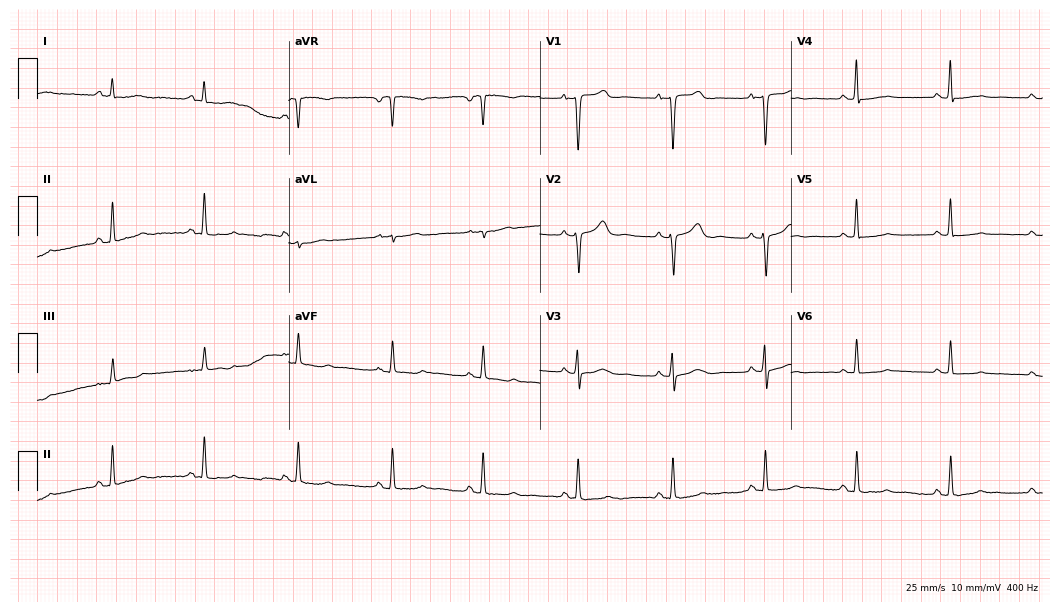
Standard 12-lead ECG recorded from a female, 55 years old. None of these six findings is recorded: first-degree AV block, right bundle branch block (RBBB), left bundle branch block (LBBB), sinus bradycardia, atrial fibrillation (AF), sinus tachycardia.